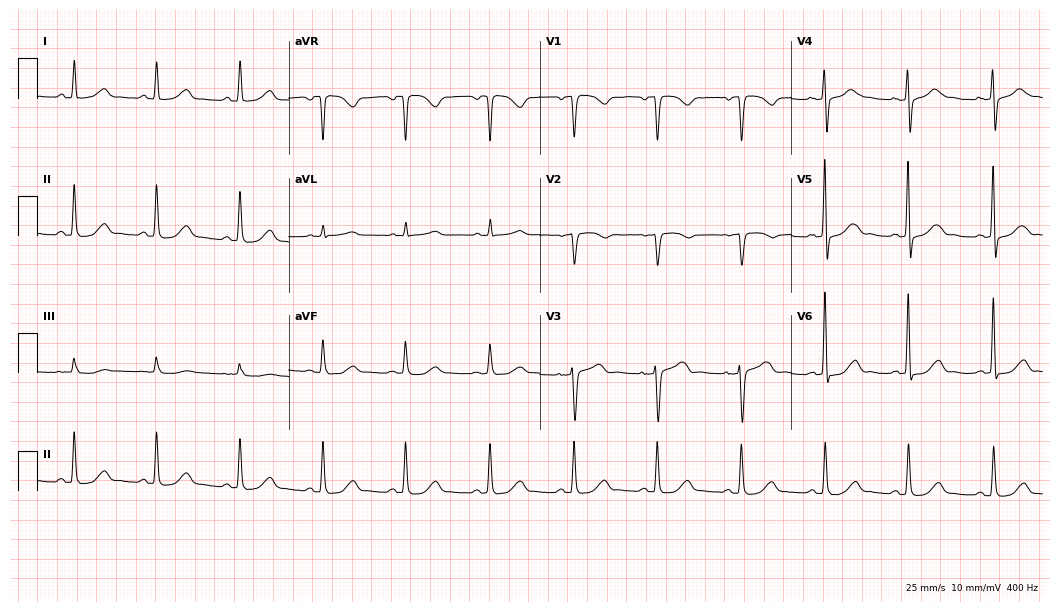
Electrocardiogram (10.2-second recording at 400 Hz), a 60-year-old female patient. Overall reading on record: normal ECG.